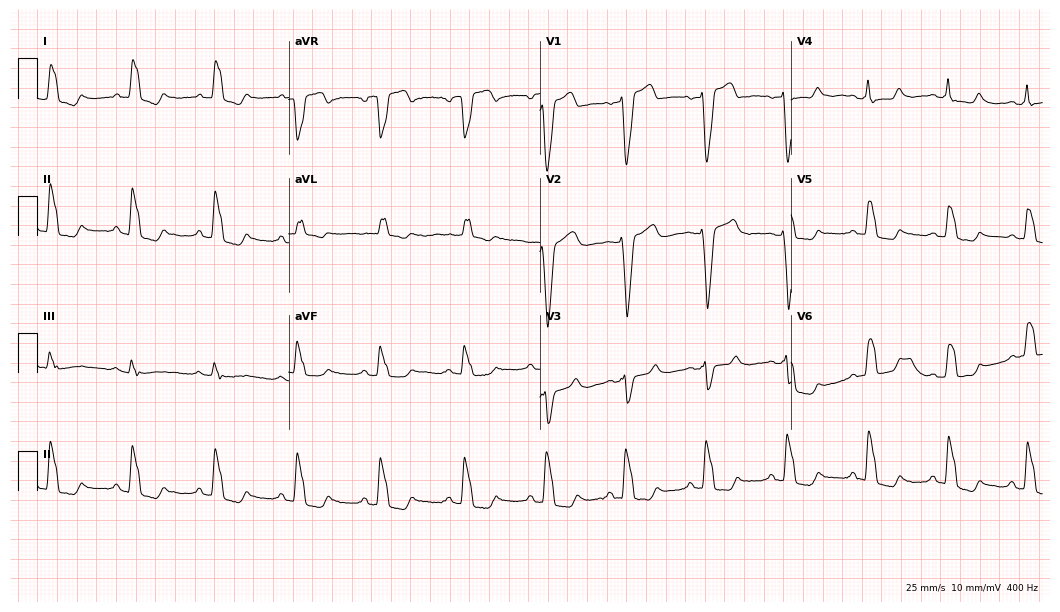
12-lead ECG from a 68-year-old woman. Findings include left bundle branch block.